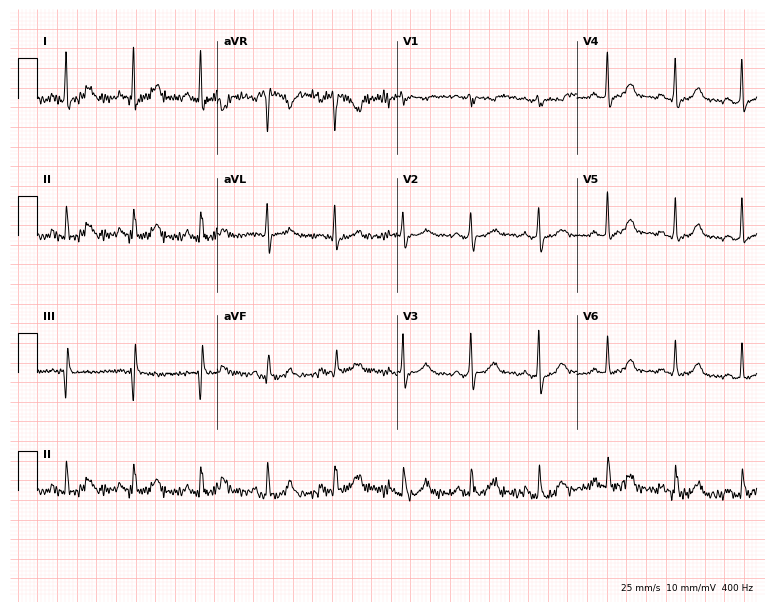
12-lead ECG (7.3-second recording at 400 Hz) from a 49-year-old female patient. Labelled as a normal ECG.